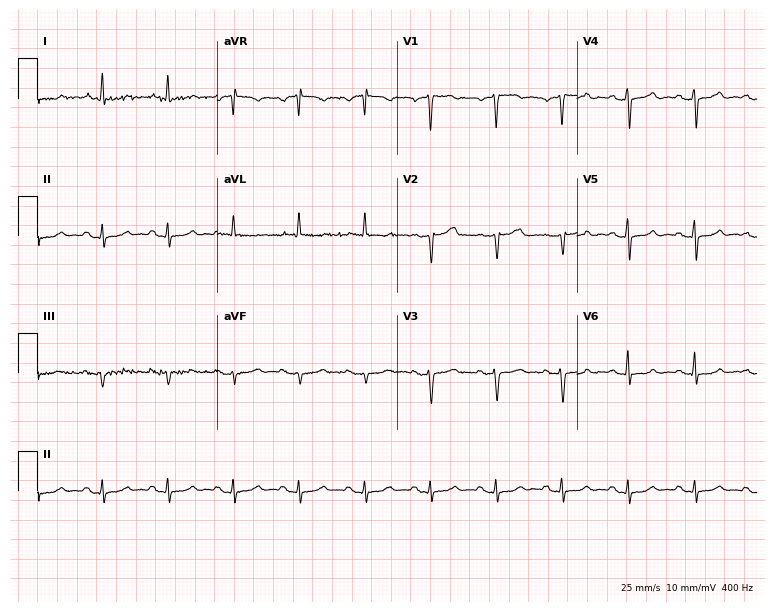
Electrocardiogram (7.3-second recording at 400 Hz), a male patient, 60 years old. Of the six screened findings (first-degree AV block, right bundle branch block (RBBB), left bundle branch block (LBBB), sinus bradycardia, atrial fibrillation (AF), sinus tachycardia), none is recorded. Other findings, if any, are not listed.